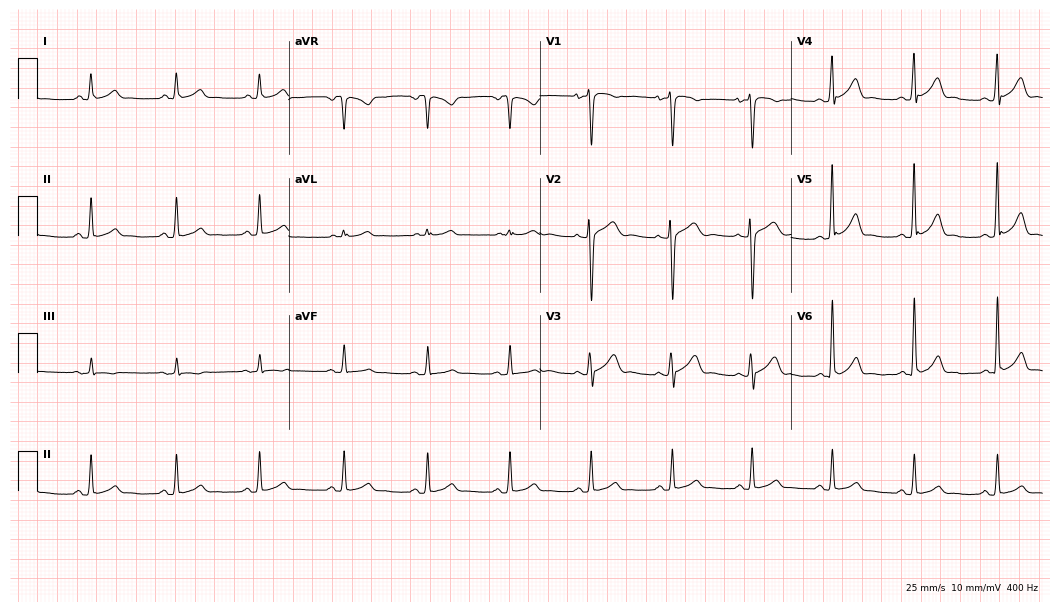
ECG — a male patient, 29 years old. Labelled as a normal ECG.